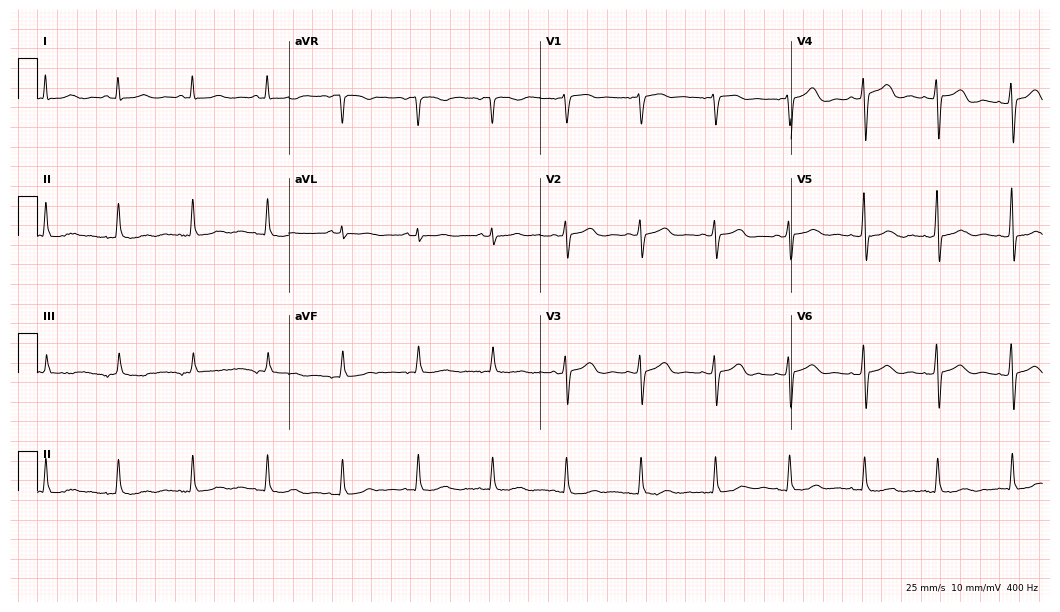
Resting 12-lead electrocardiogram (10.2-second recording at 400 Hz). Patient: a woman, 35 years old. None of these six findings is recorded: first-degree AV block, right bundle branch block, left bundle branch block, sinus bradycardia, atrial fibrillation, sinus tachycardia.